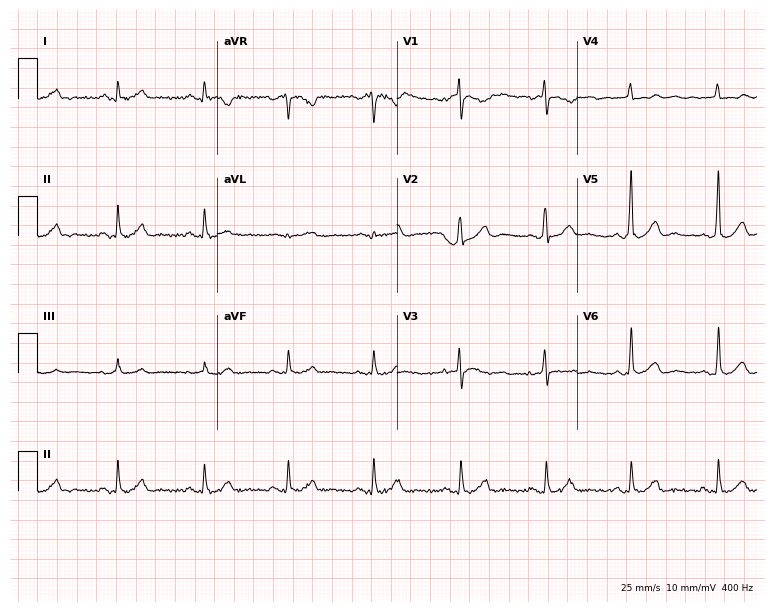
Electrocardiogram (7.3-second recording at 400 Hz), a man, 57 years old. Overall reading on record: normal ECG.